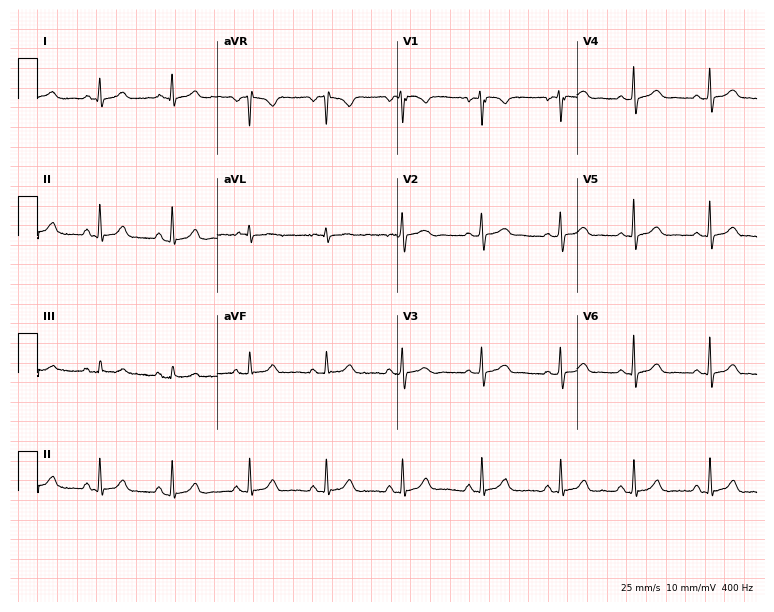
Resting 12-lead electrocardiogram (7.3-second recording at 400 Hz). Patient: a 24-year-old female. Read as a normal ECG.